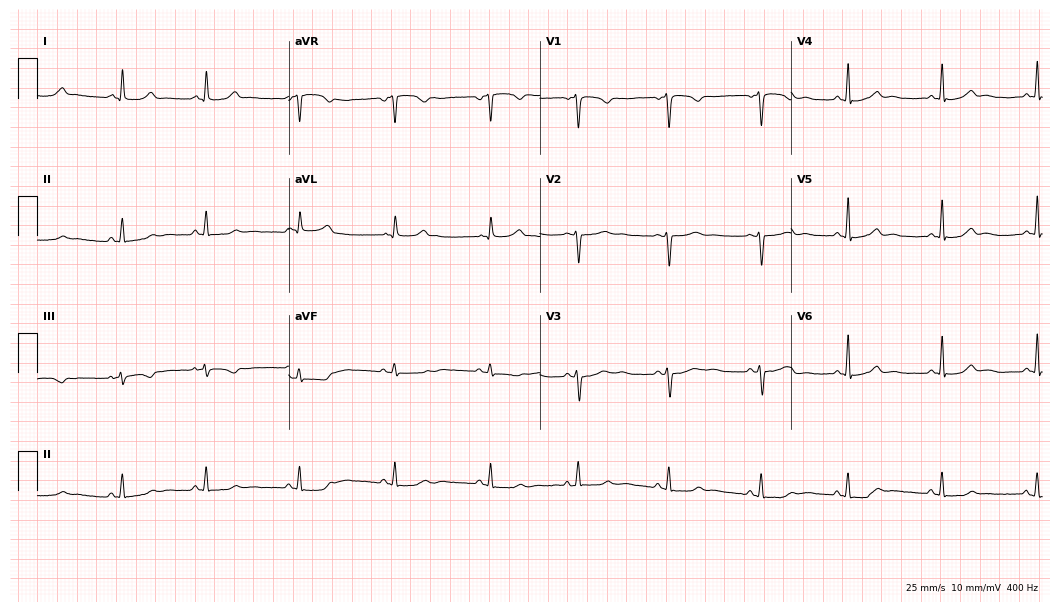
Electrocardiogram (10.2-second recording at 400 Hz), a 36-year-old woman. Overall reading on record: normal ECG.